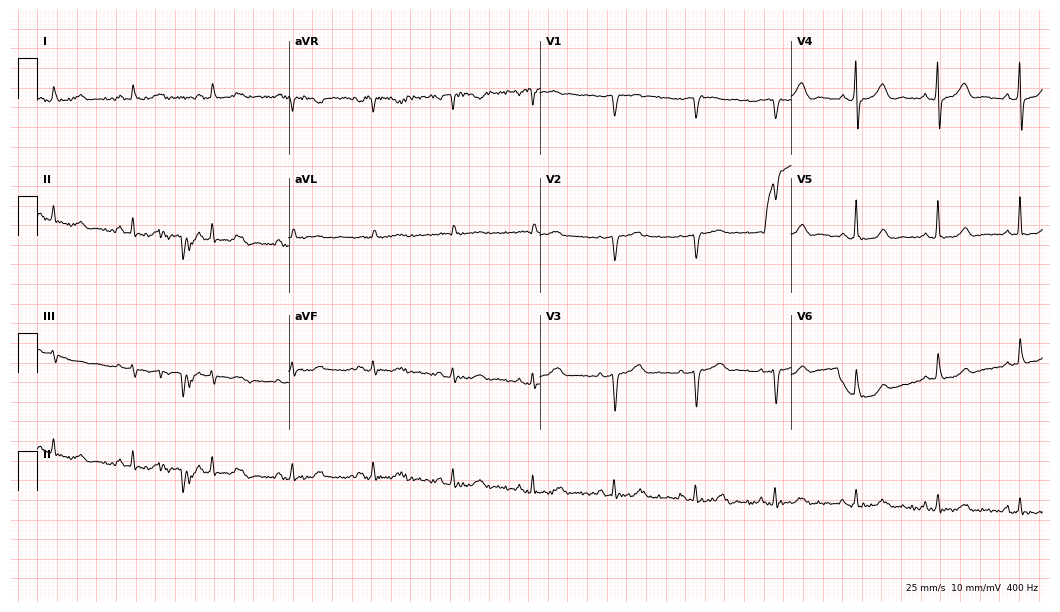
12-lead ECG (10.2-second recording at 400 Hz) from a female patient, 70 years old. Screened for six findings — first-degree AV block, right bundle branch block (RBBB), left bundle branch block (LBBB), sinus bradycardia, atrial fibrillation (AF), sinus tachycardia — none is recorded. Other findings, if any, are not listed.